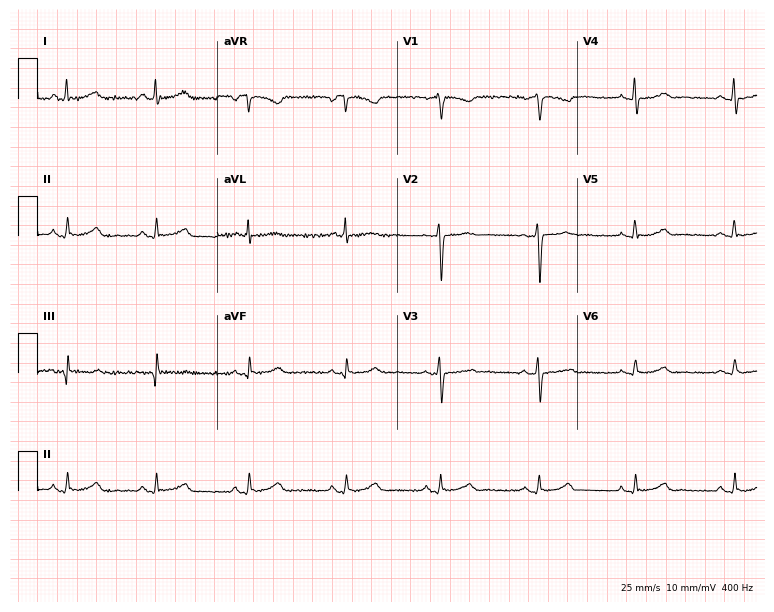
Electrocardiogram, a 58-year-old woman. Overall reading on record: normal ECG.